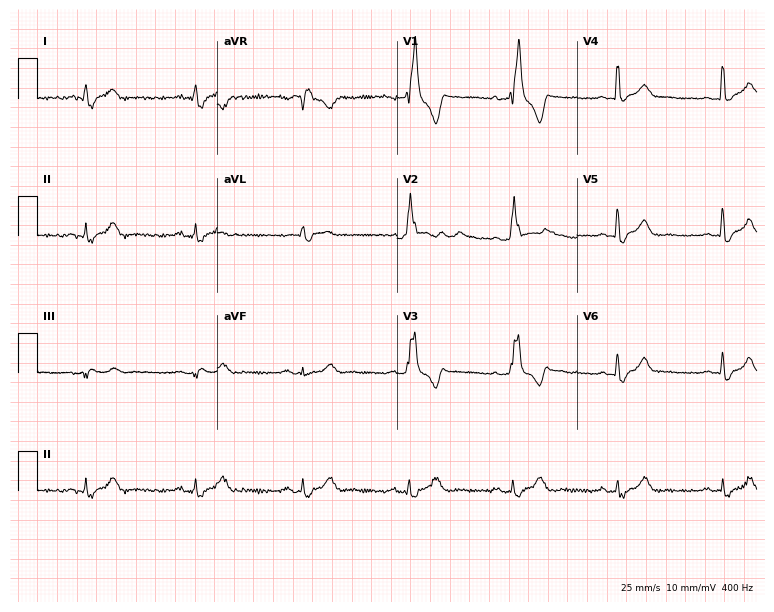
12-lead ECG from a 74-year-old male patient. Shows right bundle branch block (RBBB).